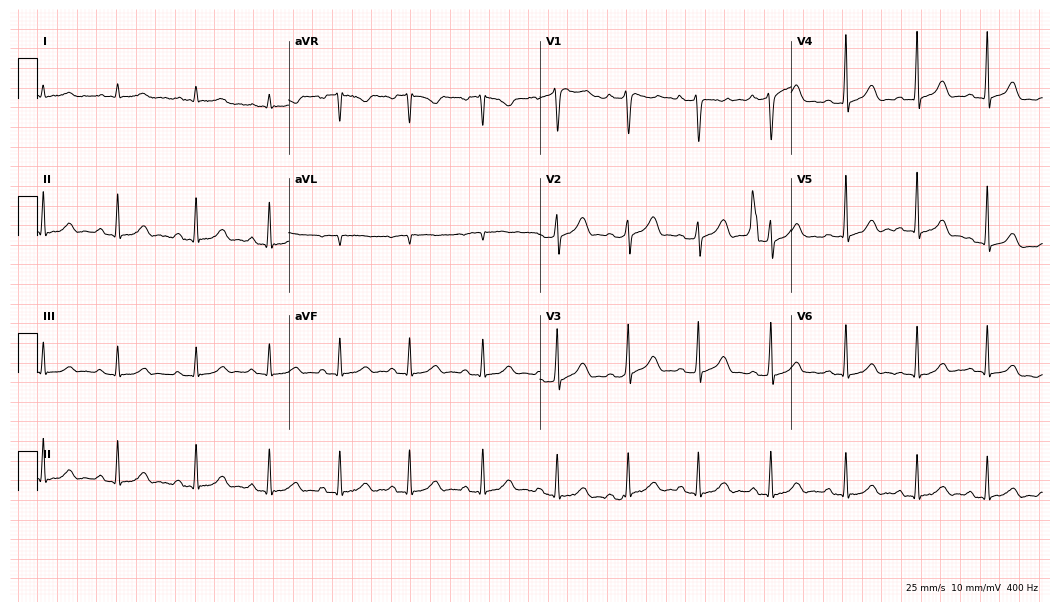
Electrocardiogram, a 19-year-old woman. Of the six screened findings (first-degree AV block, right bundle branch block, left bundle branch block, sinus bradycardia, atrial fibrillation, sinus tachycardia), none is recorded.